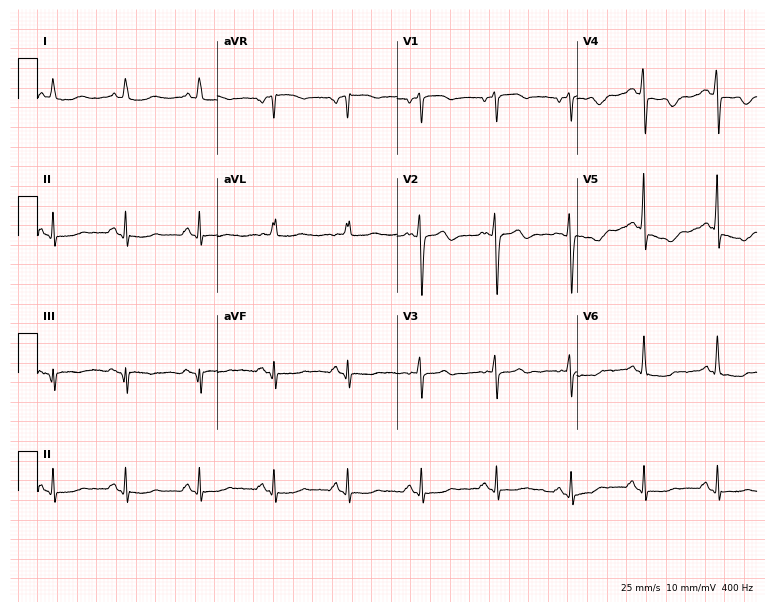
ECG (7.3-second recording at 400 Hz) — a woman, 57 years old. Screened for six findings — first-degree AV block, right bundle branch block (RBBB), left bundle branch block (LBBB), sinus bradycardia, atrial fibrillation (AF), sinus tachycardia — none is recorded. Other findings, if any, are not listed.